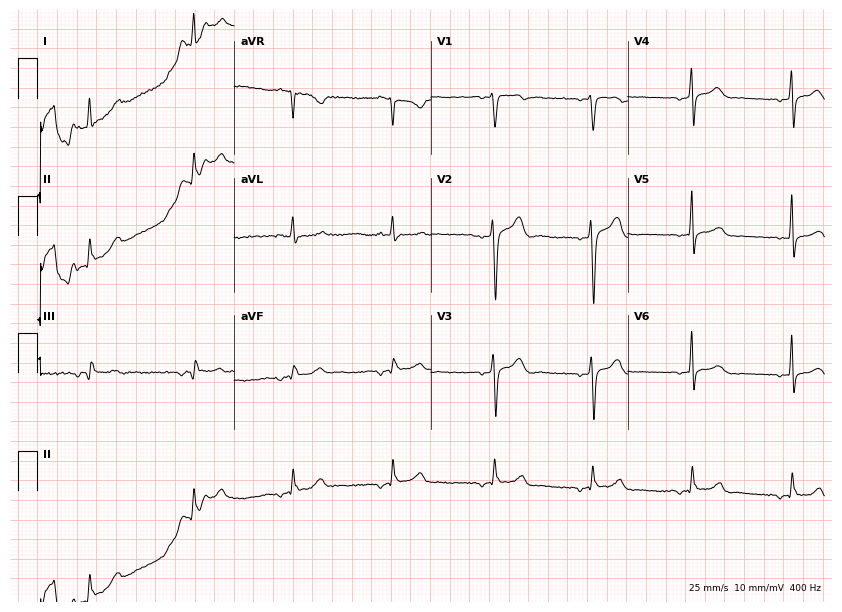
ECG (8-second recording at 400 Hz) — a male patient, 53 years old. Screened for six findings — first-degree AV block, right bundle branch block, left bundle branch block, sinus bradycardia, atrial fibrillation, sinus tachycardia — none is recorded. Only these six findings were labelled.